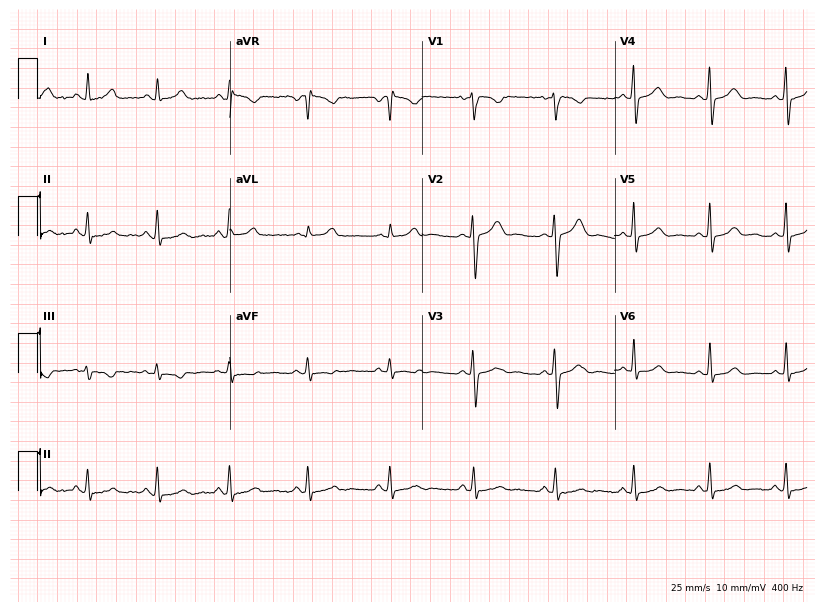
Standard 12-lead ECG recorded from a 31-year-old woman (7.8-second recording at 400 Hz). Read as a normal ECG.